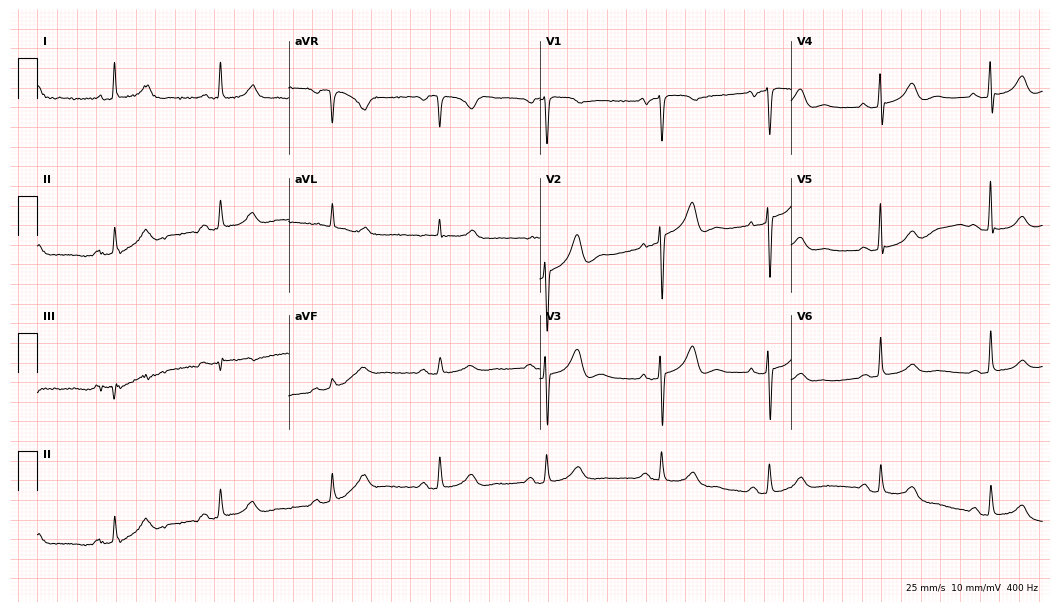
12-lead ECG from a female, 84 years old. No first-degree AV block, right bundle branch block (RBBB), left bundle branch block (LBBB), sinus bradycardia, atrial fibrillation (AF) or sinus tachycardia recorded for this tracing.